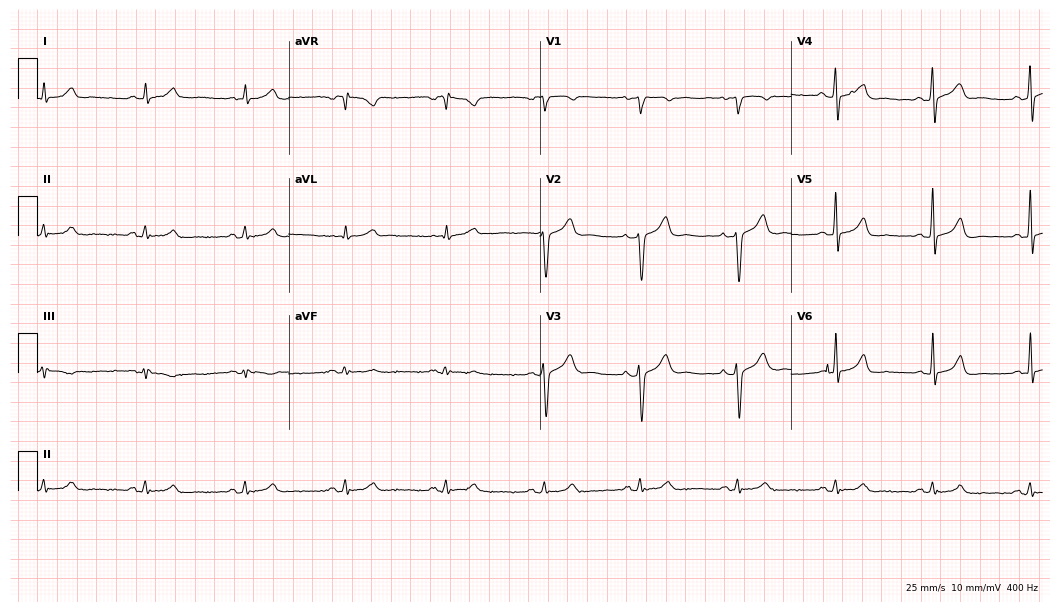
Standard 12-lead ECG recorded from a male patient, 61 years old (10.2-second recording at 400 Hz). Read as a normal ECG.